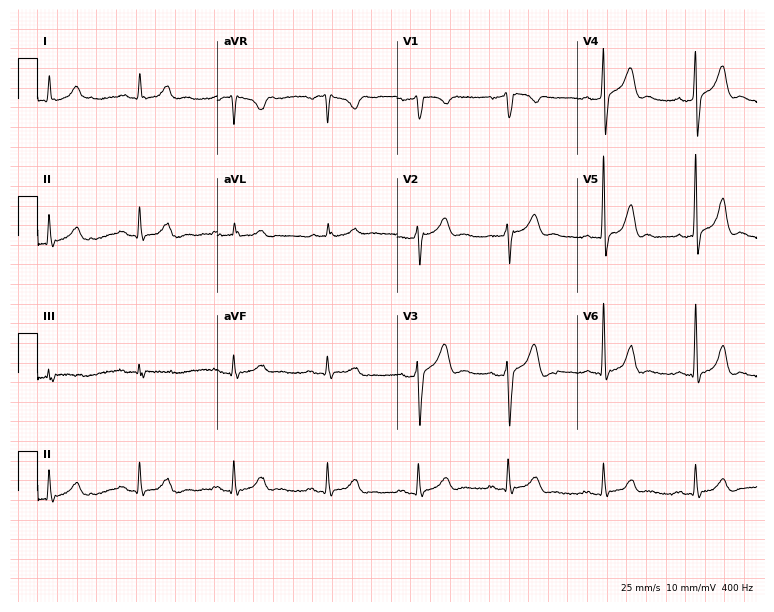
ECG (7.3-second recording at 400 Hz) — a 36-year-old male patient. Labelled as a normal ECG.